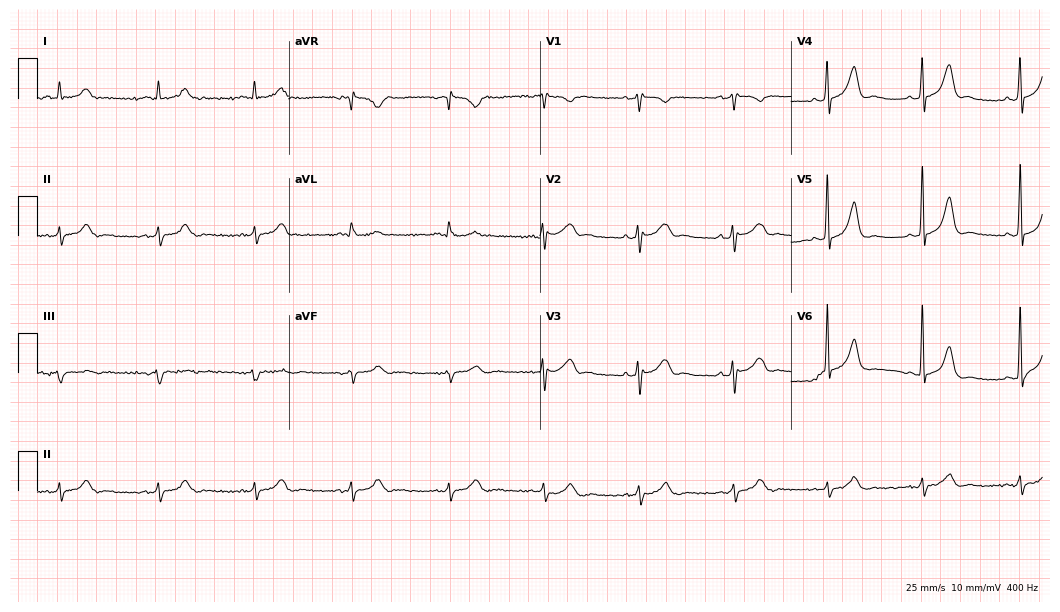
12-lead ECG from a male patient, 66 years old (10.2-second recording at 400 Hz). Recorded interpretation: within normal limits.